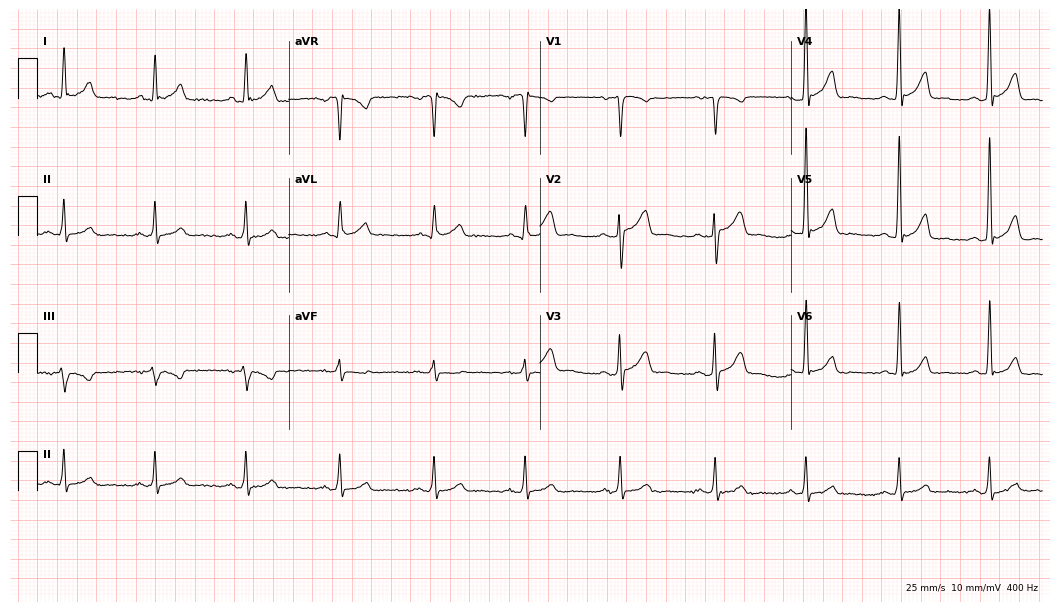
ECG (10.2-second recording at 400 Hz) — a man, 37 years old. Screened for six findings — first-degree AV block, right bundle branch block, left bundle branch block, sinus bradycardia, atrial fibrillation, sinus tachycardia — none is recorded. Other findings, if any, are not listed.